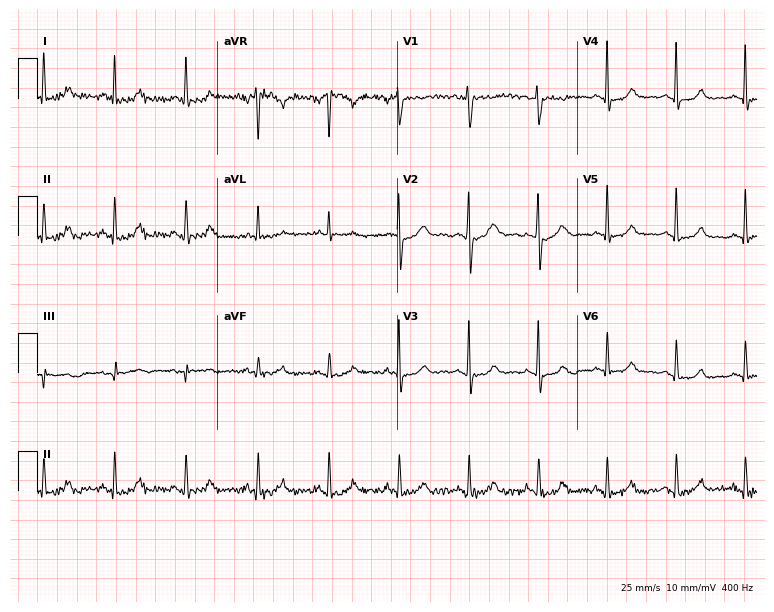
12-lead ECG from a 44-year-old woman. No first-degree AV block, right bundle branch block (RBBB), left bundle branch block (LBBB), sinus bradycardia, atrial fibrillation (AF) or sinus tachycardia recorded for this tracing.